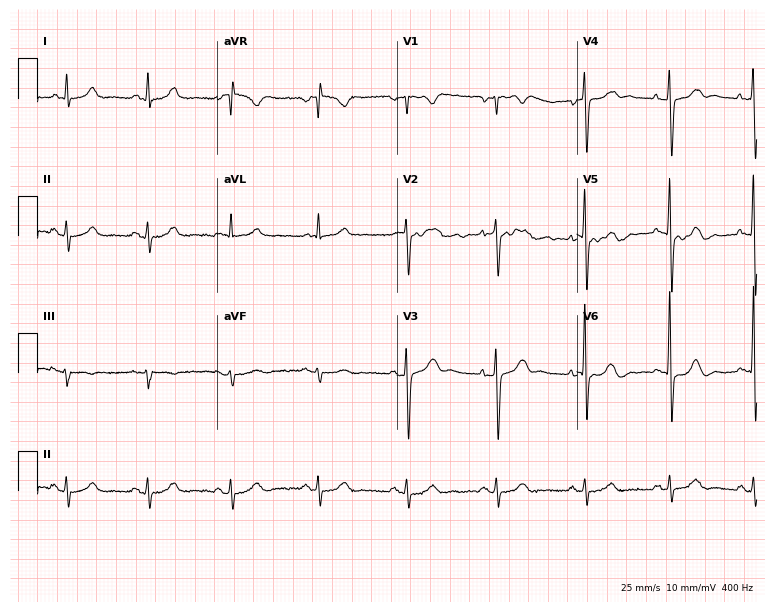
Electrocardiogram, a man, 65 years old. Of the six screened findings (first-degree AV block, right bundle branch block, left bundle branch block, sinus bradycardia, atrial fibrillation, sinus tachycardia), none is recorded. Other findings, if any, are not listed.